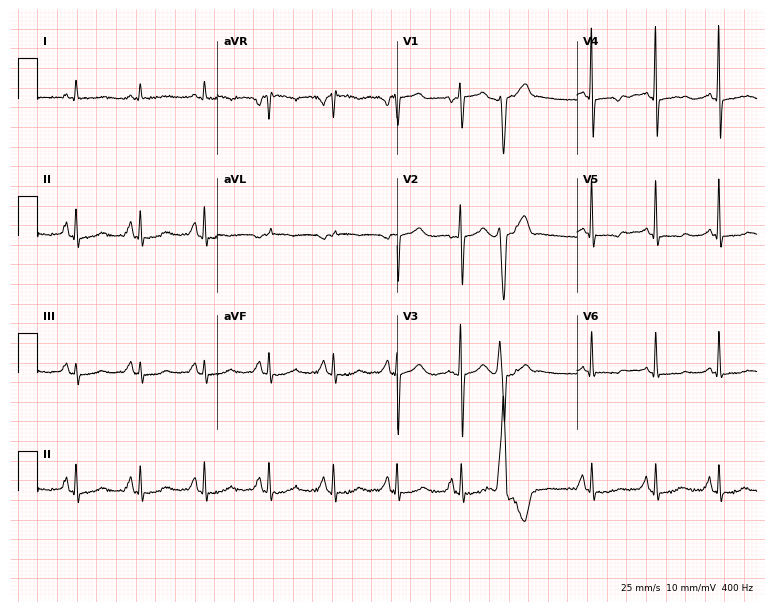
Electrocardiogram (7.3-second recording at 400 Hz), a 59-year-old female patient. Of the six screened findings (first-degree AV block, right bundle branch block, left bundle branch block, sinus bradycardia, atrial fibrillation, sinus tachycardia), none is recorded.